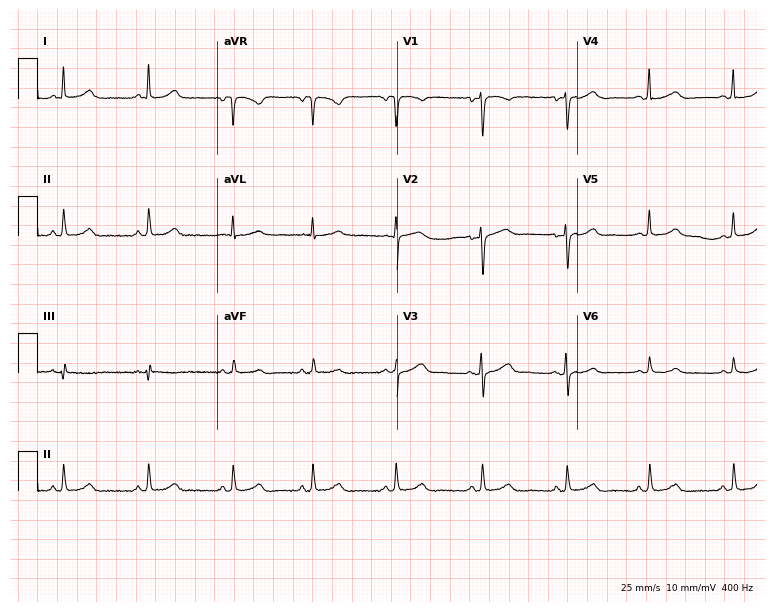
Resting 12-lead electrocardiogram. Patient: a female, 35 years old. Read as a normal ECG.